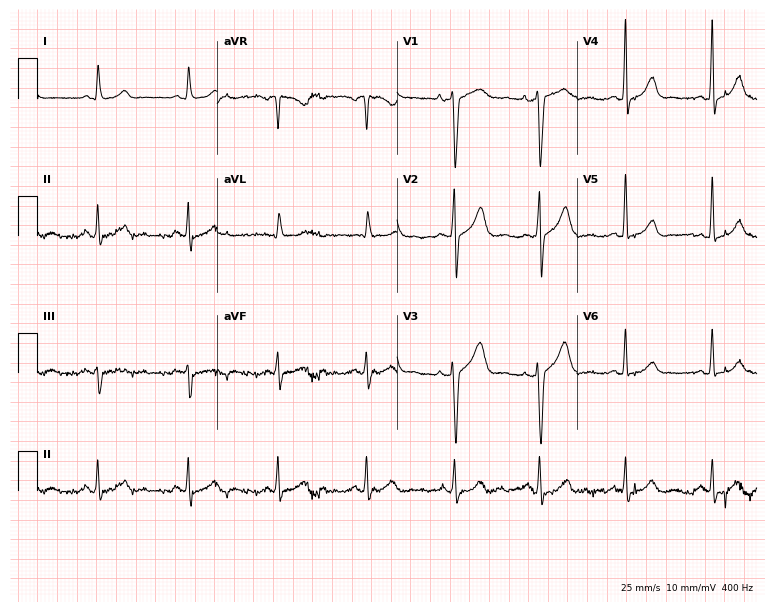
Electrocardiogram, a male patient, 63 years old. Overall reading on record: normal ECG.